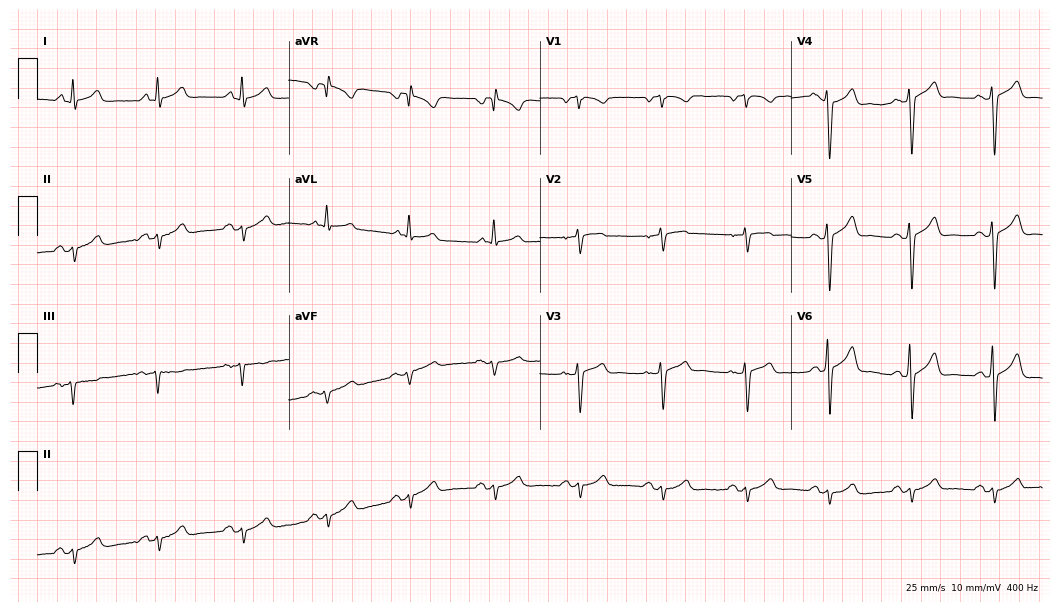
12-lead ECG from an 82-year-old male patient. Screened for six findings — first-degree AV block, right bundle branch block, left bundle branch block, sinus bradycardia, atrial fibrillation, sinus tachycardia — none is recorded. Only these six findings were labelled.